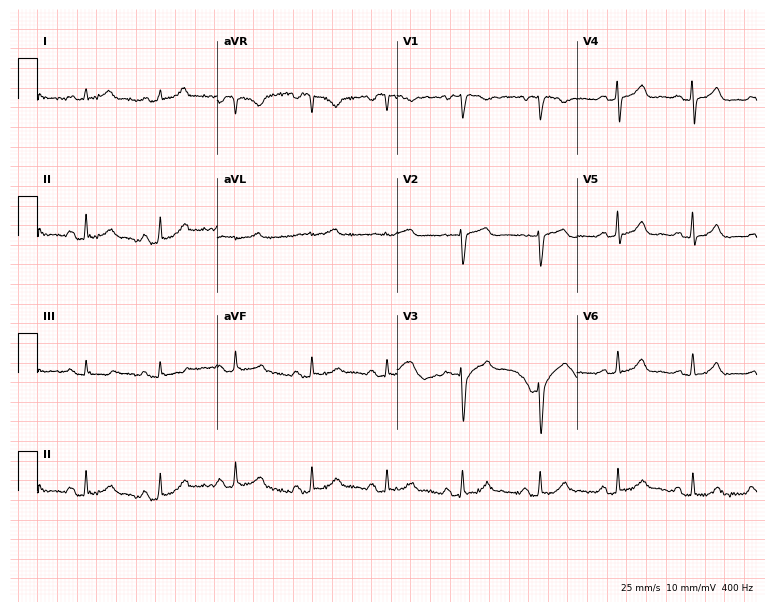
Resting 12-lead electrocardiogram (7.3-second recording at 400 Hz). Patient: a 48-year-old female. Read as a normal ECG.